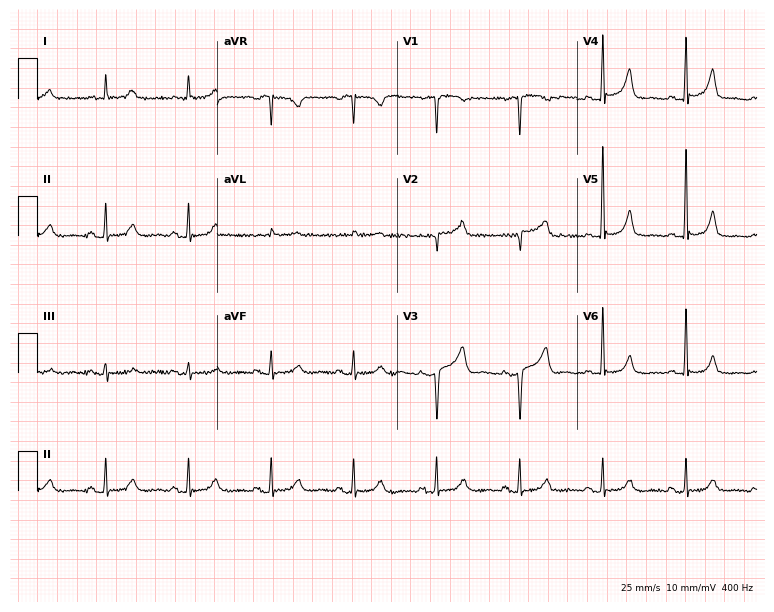
12-lead ECG from a 61-year-old female (7.3-second recording at 400 Hz). No first-degree AV block, right bundle branch block, left bundle branch block, sinus bradycardia, atrial fibrillation or sinus tachycardia recorded for this tracing. Only these six findings were labelled.